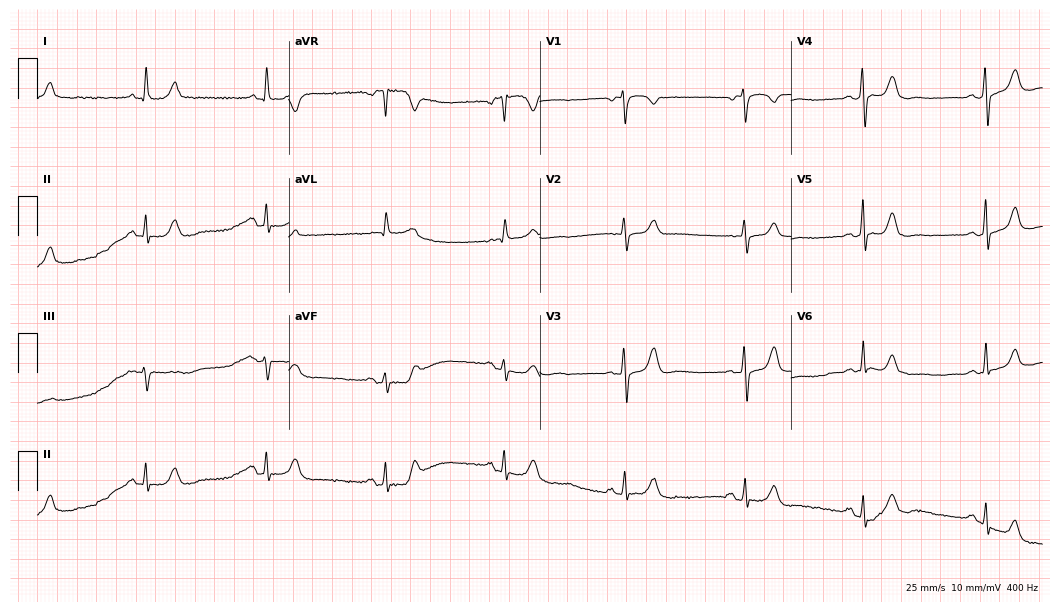
12-lead ECG from a woman, 76 years old. Labelled as a normal ECG.